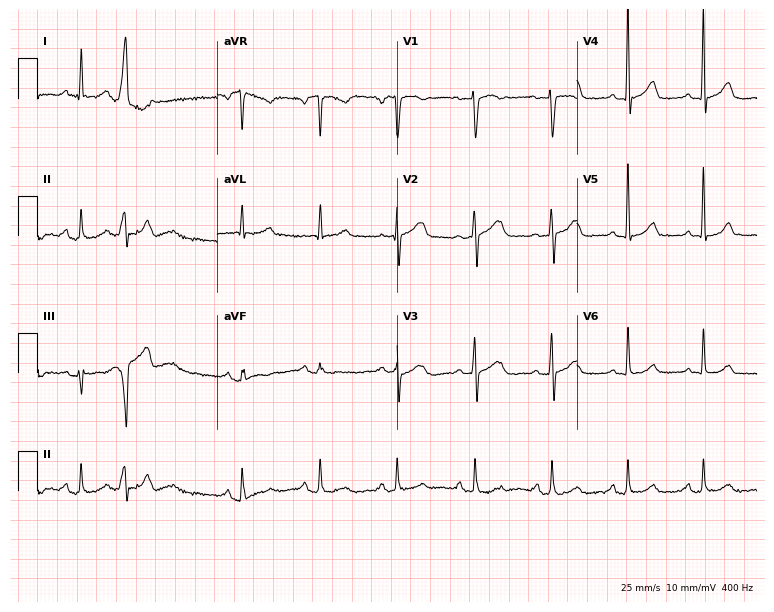
12-lead ECG from a 61-year-old woman. Recorded interpretation: within normal limits.